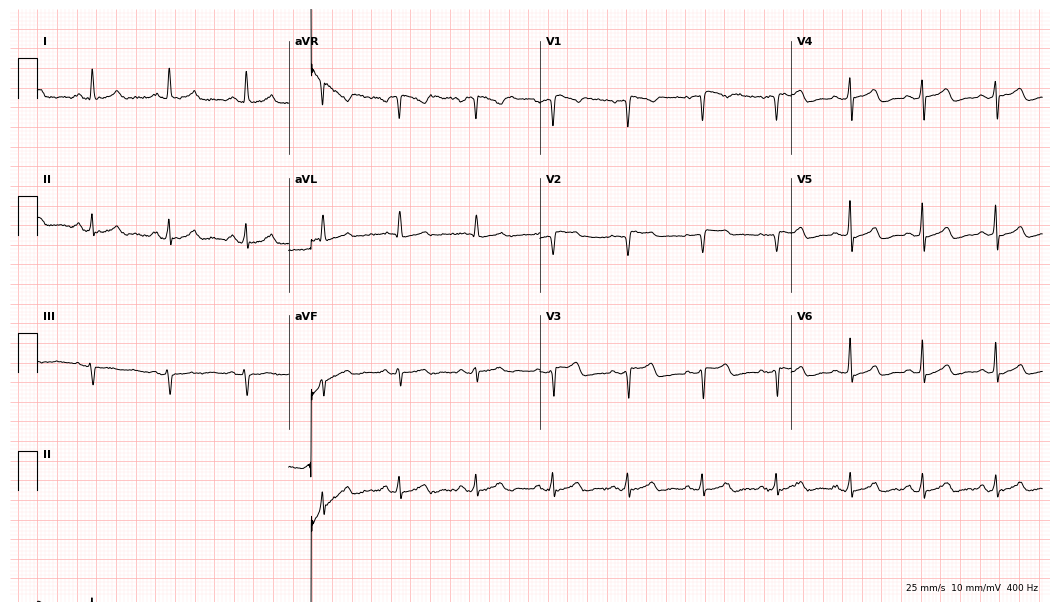
12-lead ECG from a 59-year-old woman (10.2-second recording at 400 Hz). No first-degree AV block, right bundle branch block (RBBB), left bundle branch block (LBBB), sinus bradycardia, atrial fibrillation (AF) or sinus tachycardia recorded for this tracing. Other findings, if any, are not listed.